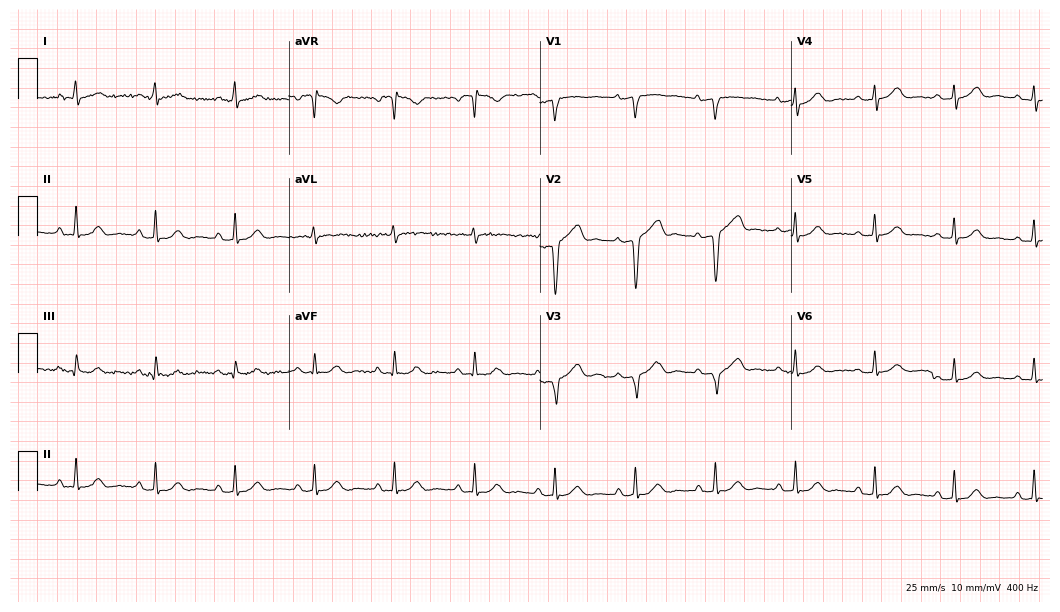
12-lead ECG from a 64-year-old man. Recorded interpretation: within normal limits.